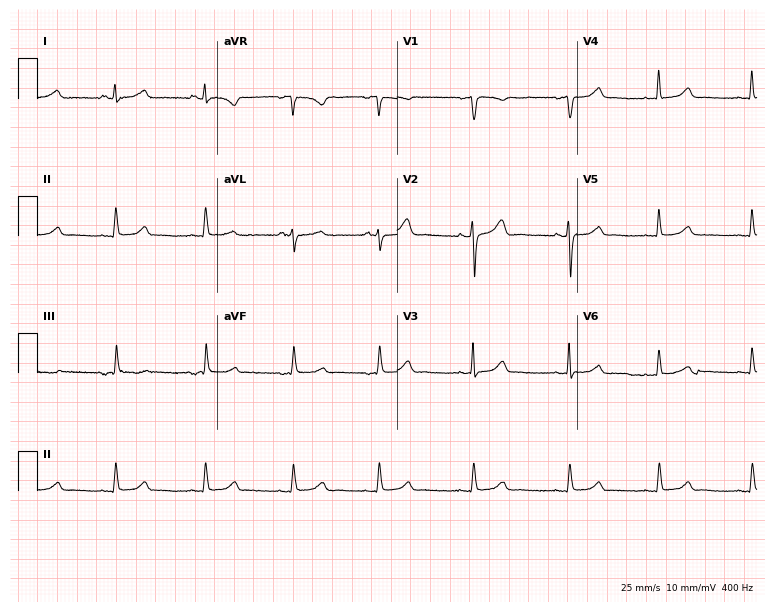
Electrocardiogram (7.3-second recording at 400 Hz), a 53-year-old female patient. Overall reading on record: normal ECG.